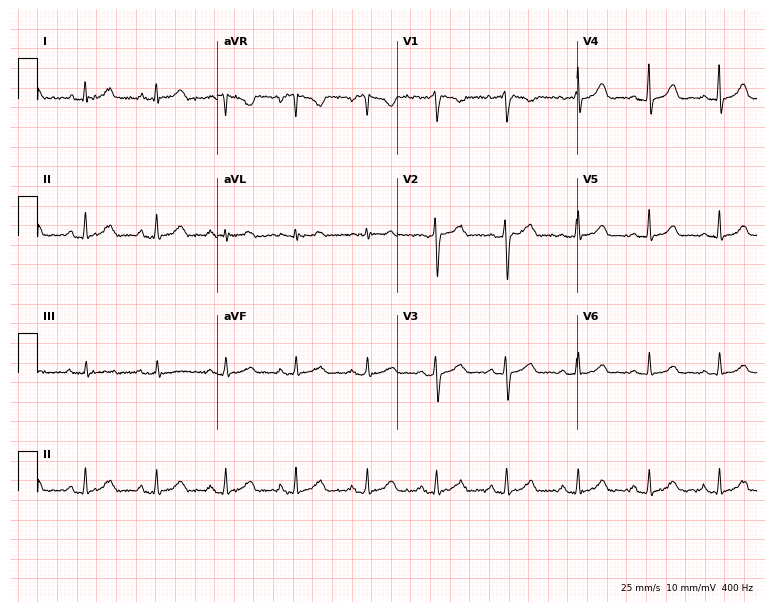
Standard 12-lead ECG recorded from a woman, 20 years old (7.3-second recording at 400 Hz). Read as a normal ECG.